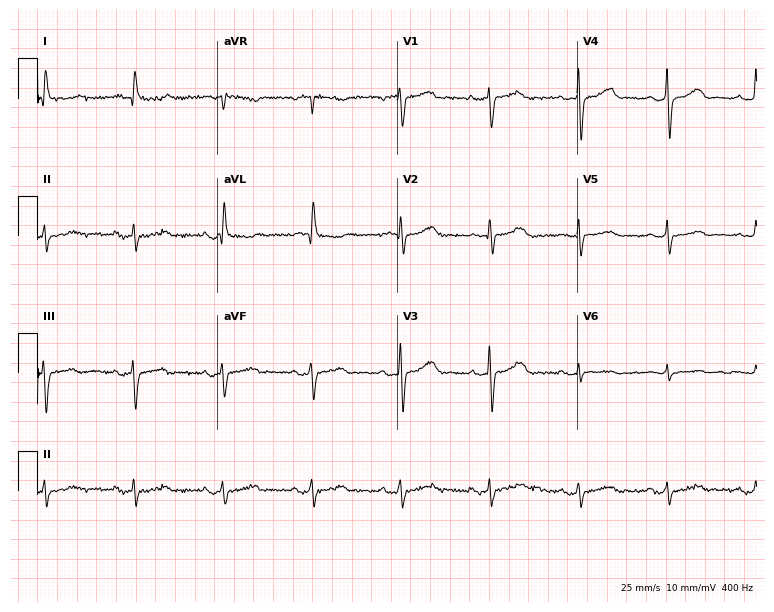
12-lead ECG from a 79-year-old female (7.3-second recording at 400 Hz). No first-degree AV block, right bundle branch block, left bundle branch block, sinus bradycardia, atrial fibrillation or sinus tachycardia recorded for this tracing.